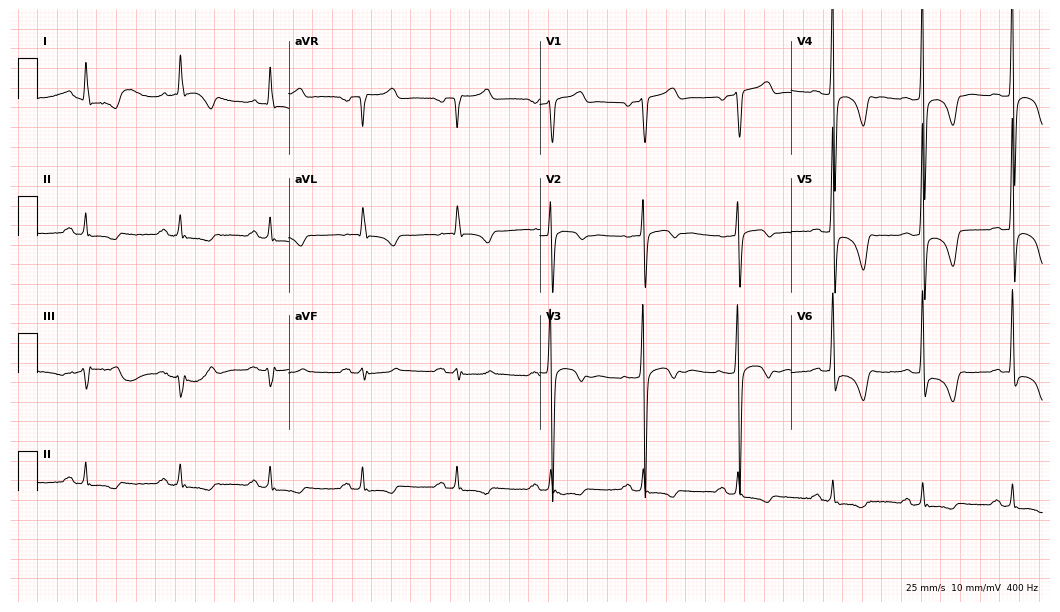
12-lead ECG from a 65-year-old male. Screened for six findings — first-degree AV block, right bundle branch block, left bundle branch block, sinus bradycardia, atrial fibrillation, sinus tachycardia — none is recorded.